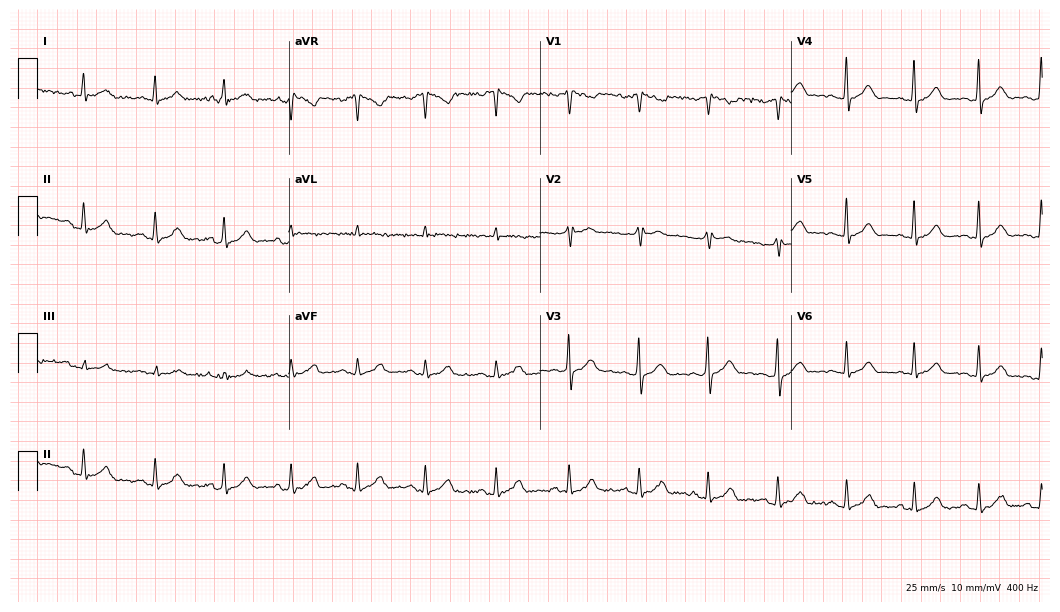
Electrocardiogram (10.2-second recording at 400 Hz), a 35-year-old man. Overall reading on record: normal ECG.